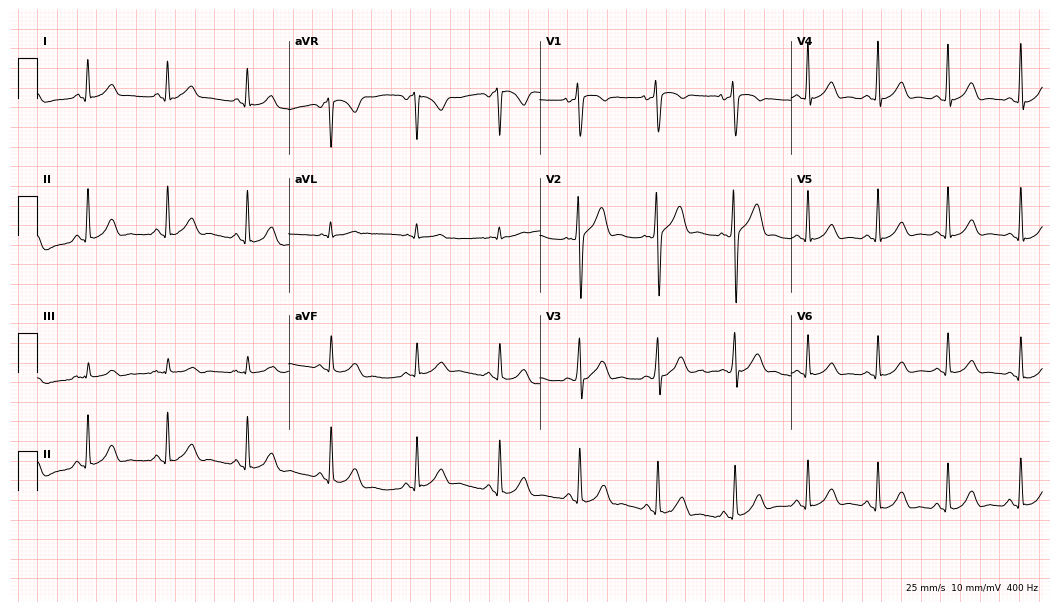
ECG — a 21-year-old male patient. Labelled as a normal ECG.